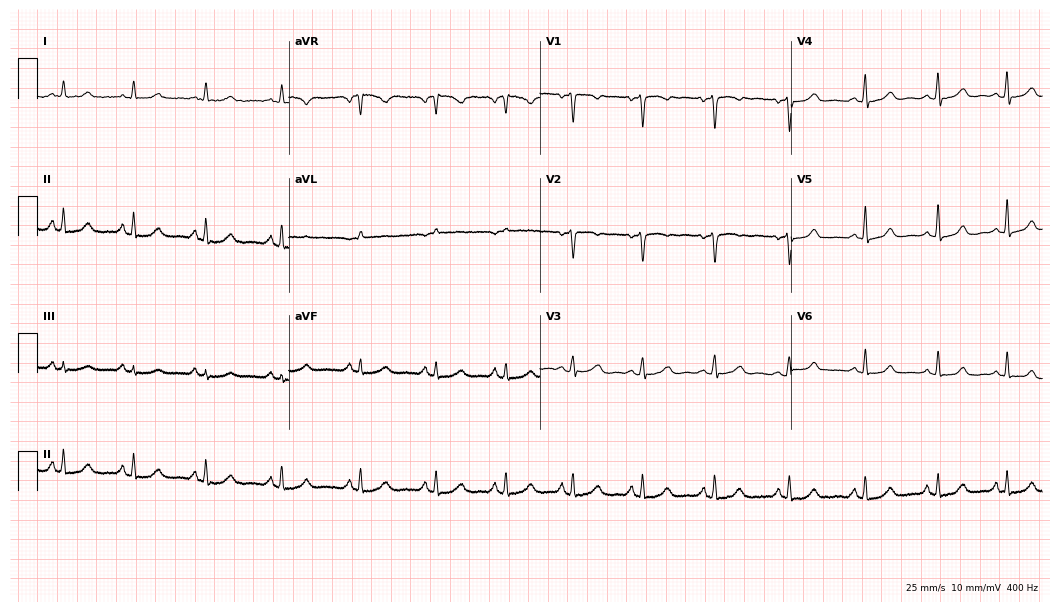
12-lead ECG from a woman, 51 years old. Recorded interpretation: within normal limits.